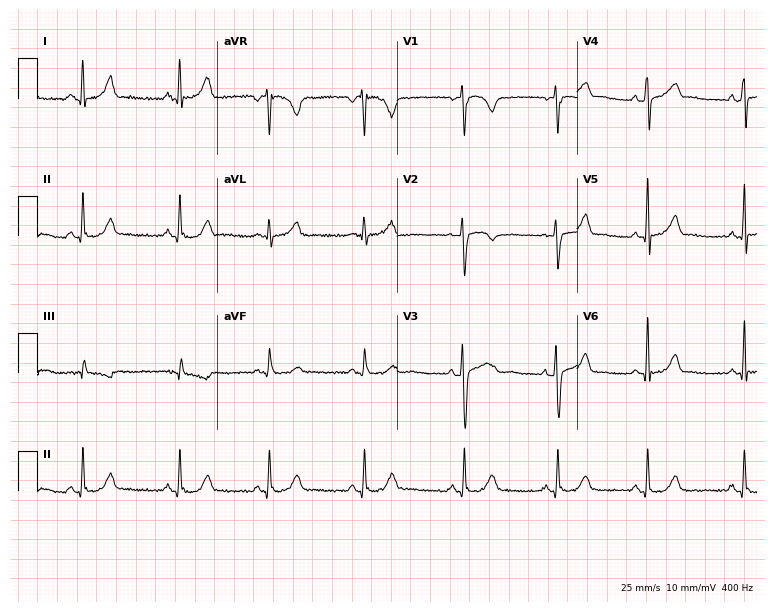
Electrocardiogram (7.3-second recording at 400 Hz), a 29-year-old female patient. Of the six screened findings (first-degree AV block, right bundle branch block (RBBB), left bundle branch block (LBBB), sinus bradycardia, atrial fibrillation (AF), sinus tachycardia), none is recorded. Findings outside these six are not listed.